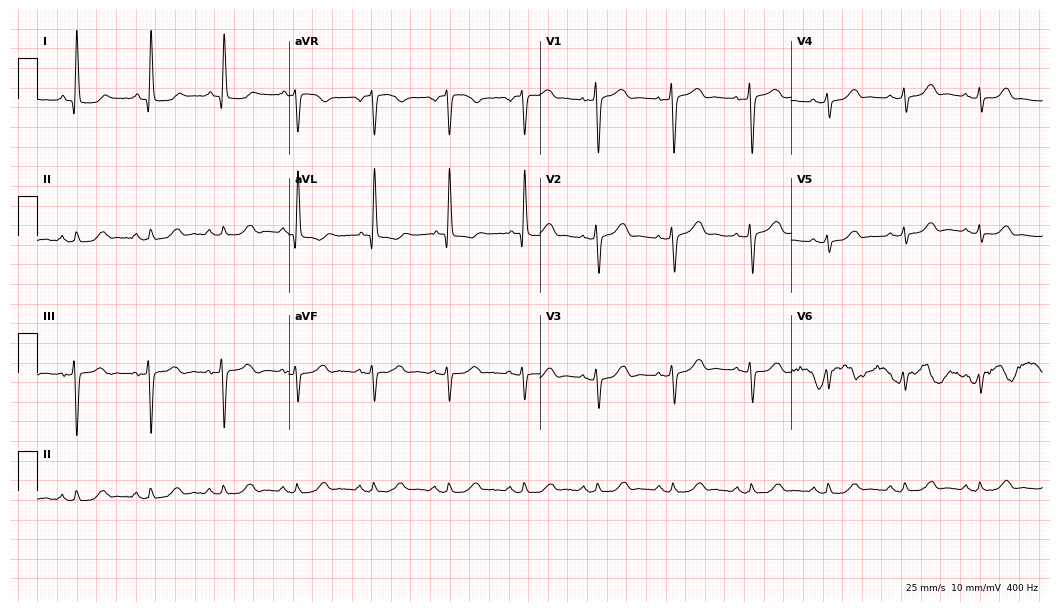
Electrocardiogram, a female patient, 65 years old. Overall reading on record: normal ECG.